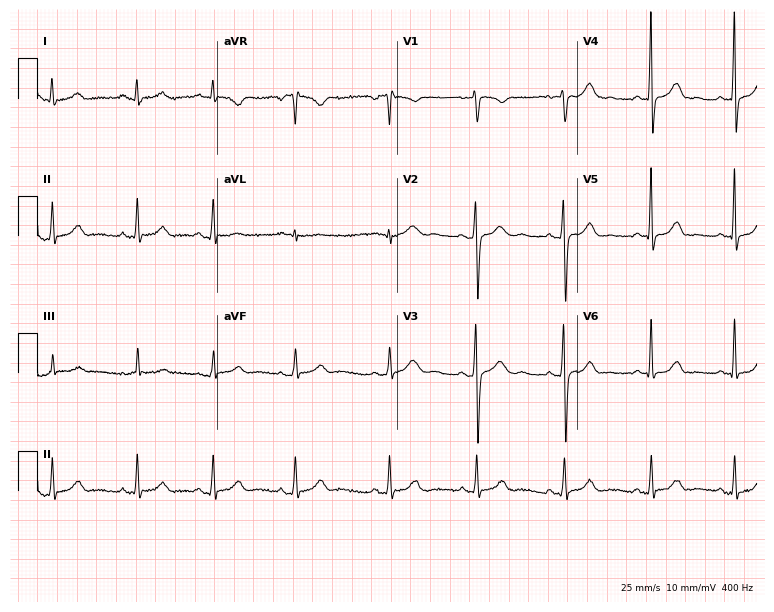
ECG — a 29-year-old female. Screened for six findings — first-degree AV block, right bundle branch block, left bundle branch block, sinus bradycardia, atrial fibrillation, sinus tachycardia — none is recorded.